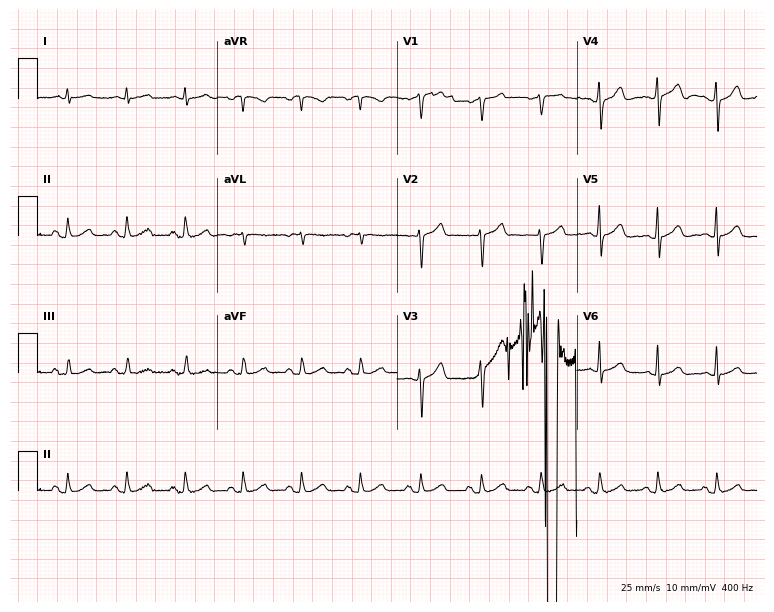
12-lead ECG from a man, 54 years old (7.3-second recording at 400 Hz). No first-degree AV block, right bundle branch block, left bundle branch block, sinus bradycardia, atrial fibrillation or sinus tachycardia recorded for this tracing. Findings outside these six are not listed.